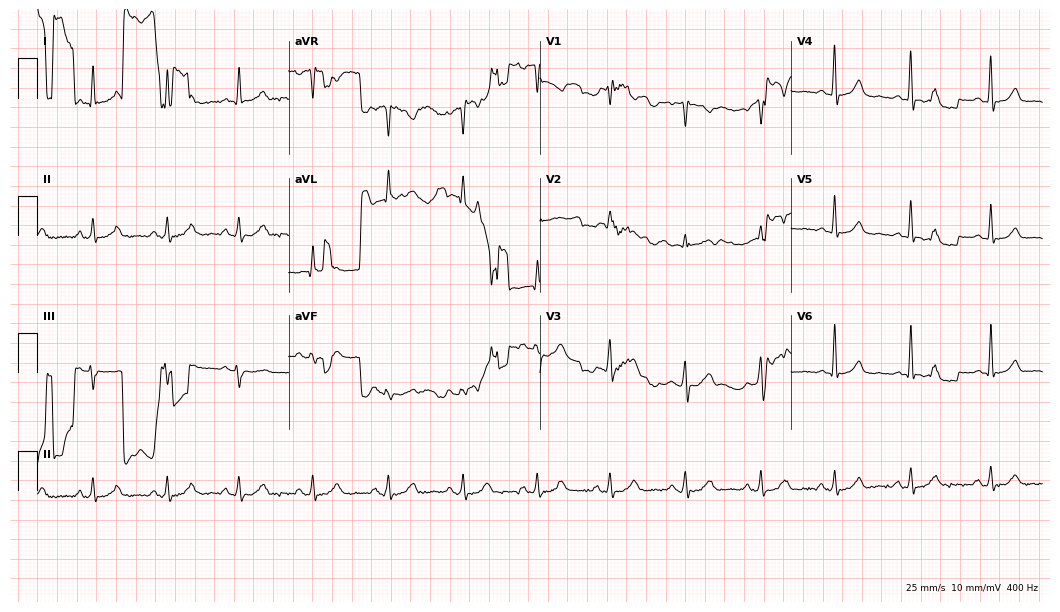
12-lead ECG from a woman, 56 years old. Screened for six findings — first-degree AV block, right bundle branch block (RBBB), left bundle branch block (LBBB), sinus bradycardia, atrial fibrillation (AF), sinus tachycardia — none is recorded. Findings outside these six are not listed.